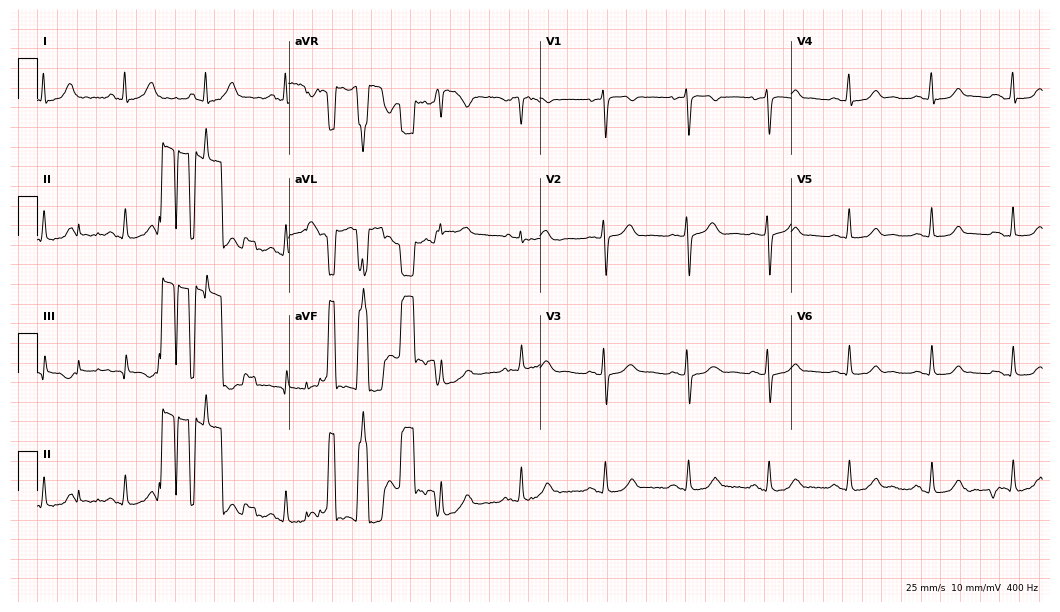
12-lead ECG from a 28-year-old female patient. Labelled as a normal ECG.